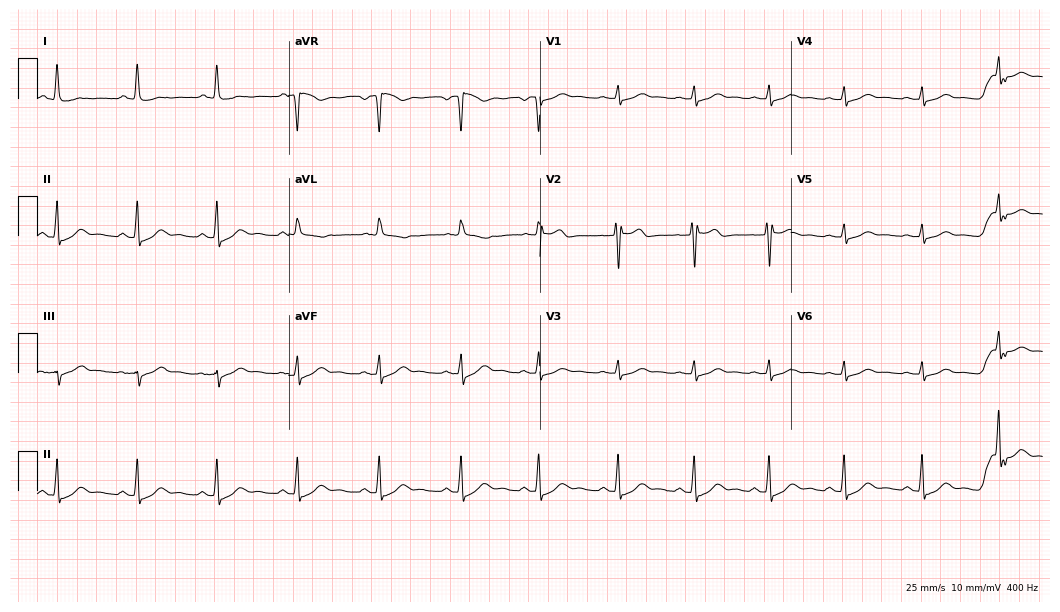
Electrocardiogram (10.2-second recording at 400 Hz), a male, 42 years old. Of the six screened findings (first-degree AV block, right bundle branch block, left bundle branch block, sinus bradycardia, atrial fibrillation, sinus tachycardia), none is recorded. Findings outside these six are not listed.